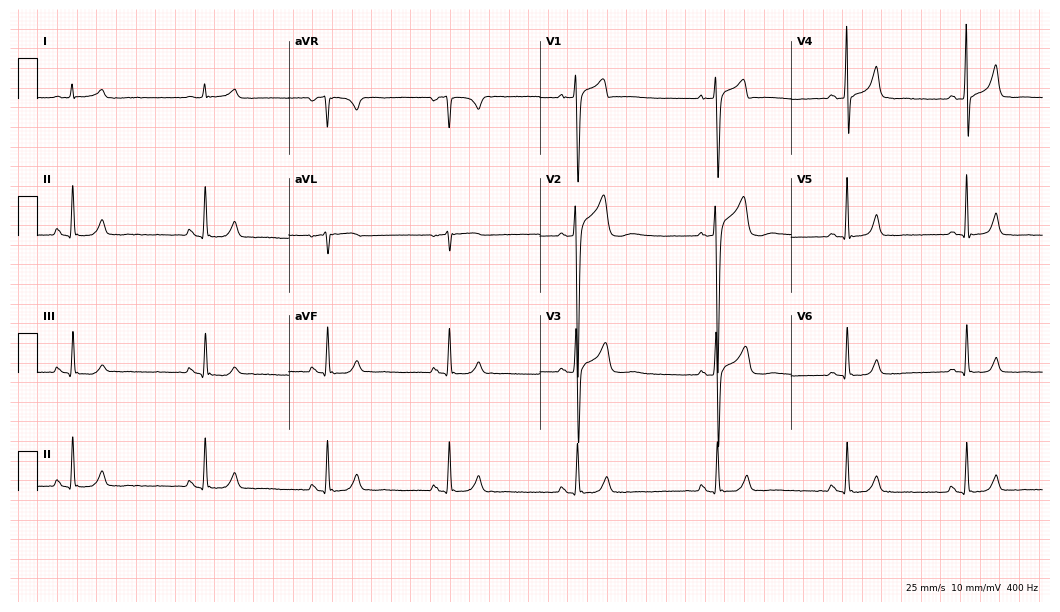
Standard 12-lead ECG recorded from a 36-year-old male patient (10.2-second recording at 400 Hz). The tracing shows sinus bradycardia (a sinus rate of 50 beats per minute or less).